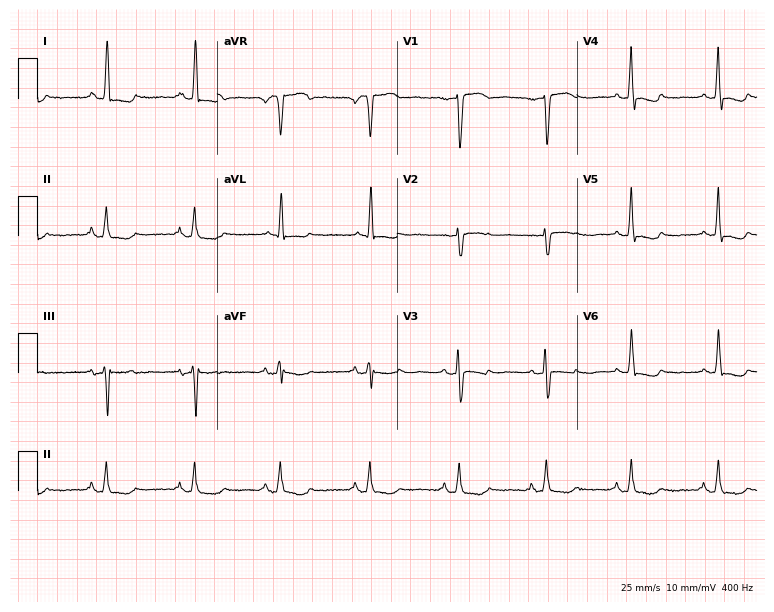
12-lead ECG from a 64-year-old female (7.3-second recording at 400 Hz). No first-degree AV block, right bundle branch block, left bundle branch block, sinus bradycardia, atrial fibrillation or sinus tachycardia recorded for this tracing. Findings outside these six are not listed.